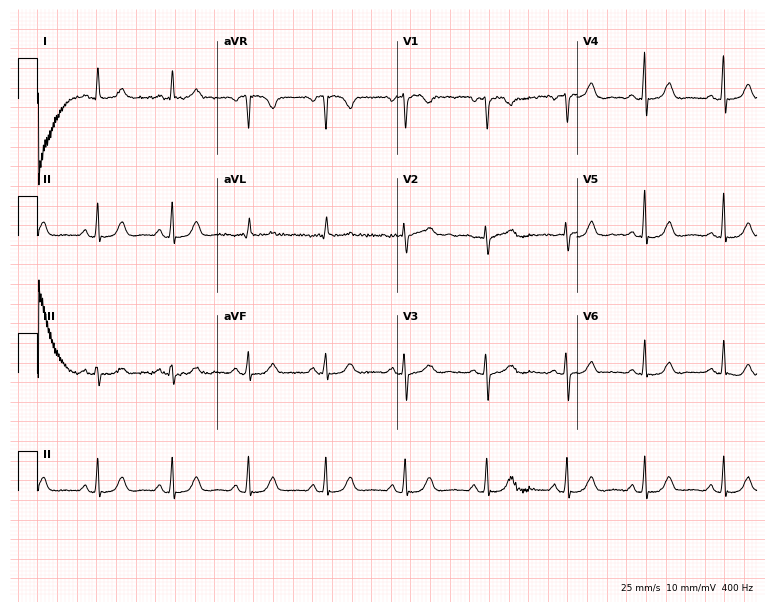
Resting 12-lead electrocardiogram. Patient: a 57-year-old female. Read as a normal ECG.